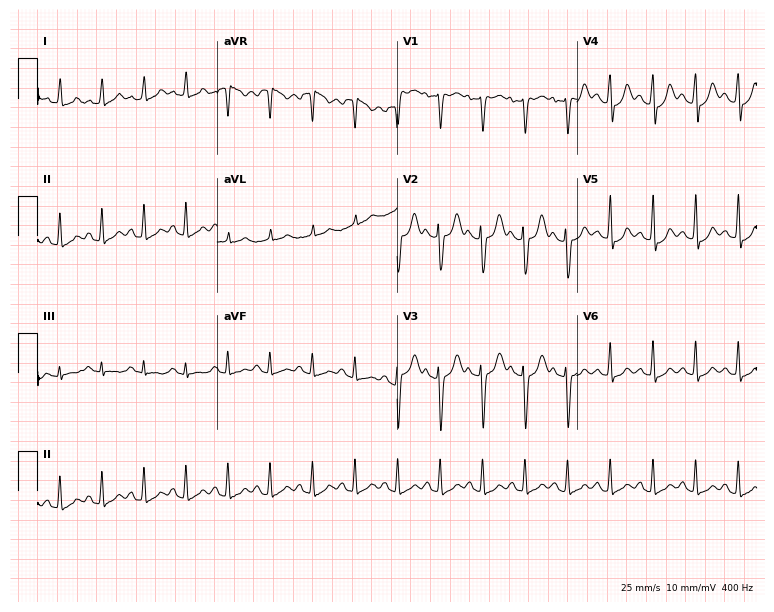
12-lead ECG from a female patient, 40 years old. Findings include sinus tachycardia (a sinus rate of 100 beats per minute or more).